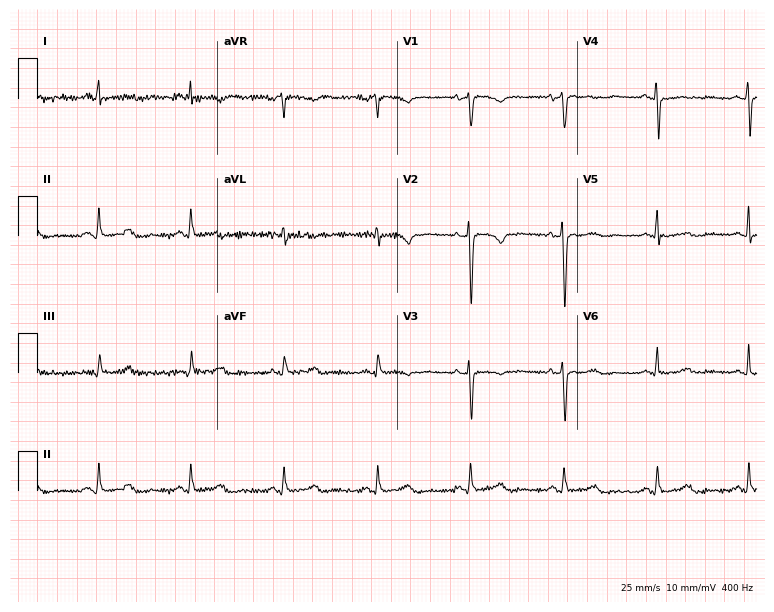
12-lead ECG (7.3-second recording at 400 Hz) from a 51-year-old female. Screened for six findings — first-degree AV block, right bundle branch block, left bundle branch block, sinus bradycardia, atrial fibrillation, sinus tachycardia — none is recorded. Findings outside these six are not listed.